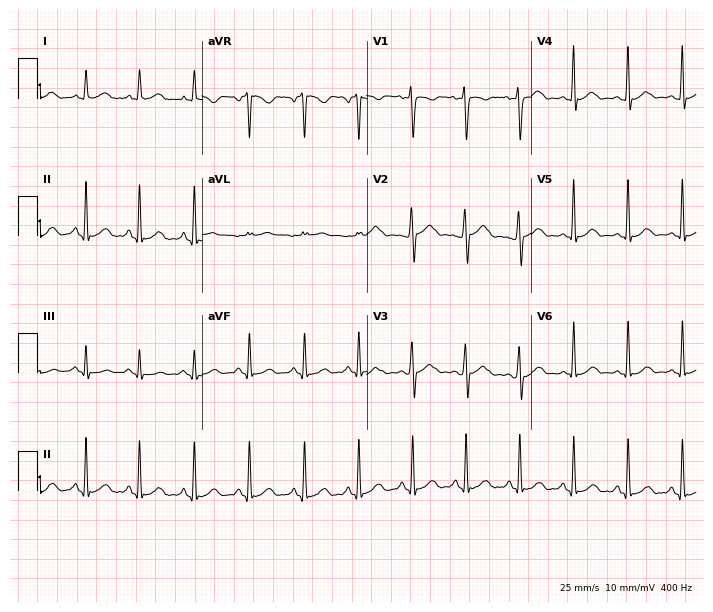
Resting 12-lead electrocardiogram. Patient: a woman, 24 years old. The tracing shows sinus tachycardia (a sinus rate of 100 beats per minute or more).